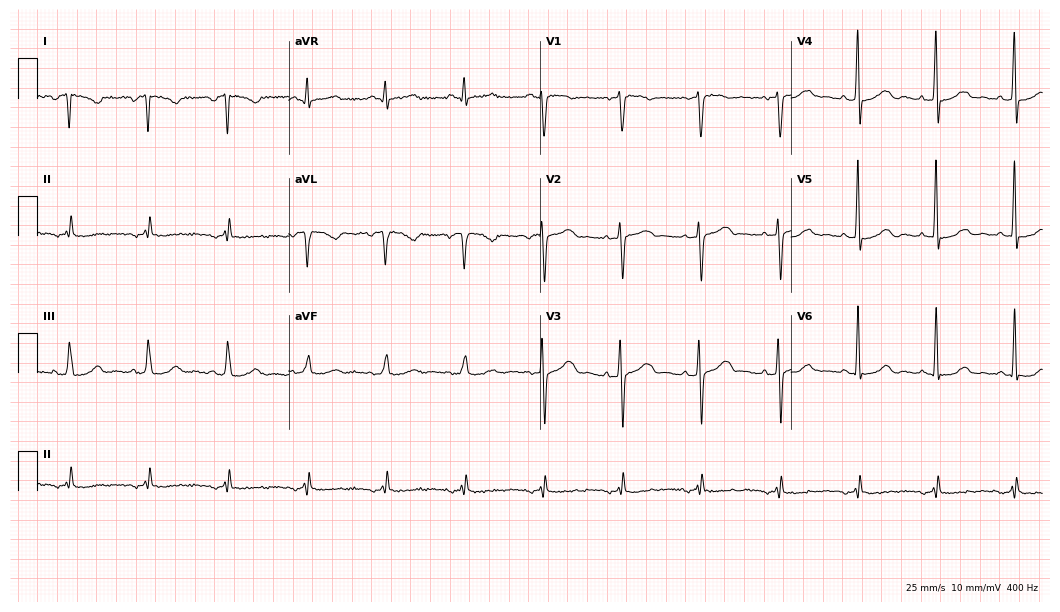
ECG — a female patient, 44 years old. Screened for six findings — first-degree AV block, right bundle branch block (RBBB), left bundle branch block (LBBB), sinus bradycardia, atrial fibrillation (AF), sinus tachycardia — none is recorded.